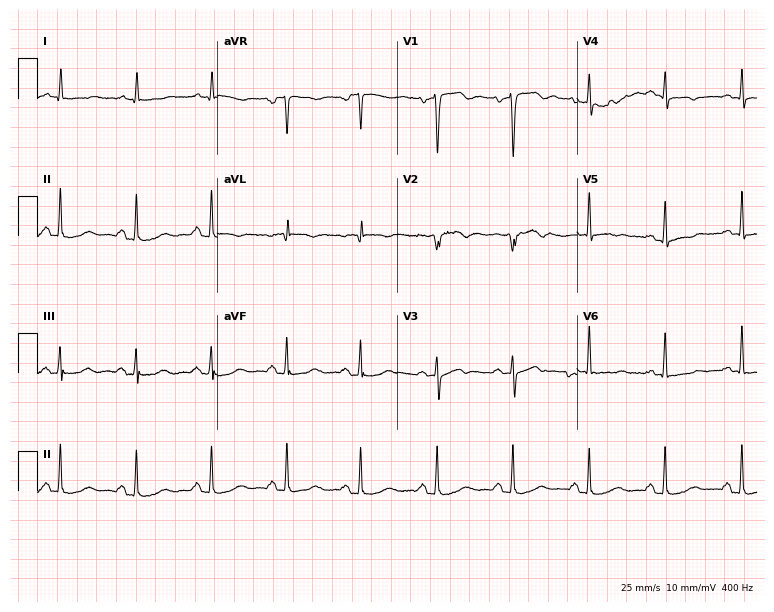
Resting 12-lead electrocardiogram (7.3-second recording at 400 Hz). Patient: an 85-year-old male. None of these six findings is recorded: first-degree AV block, right bundle branch block, left bundle branch block, sinus bradycardia, atrial fibrillation, sinus tachycardia. Only these six findings were labelled.